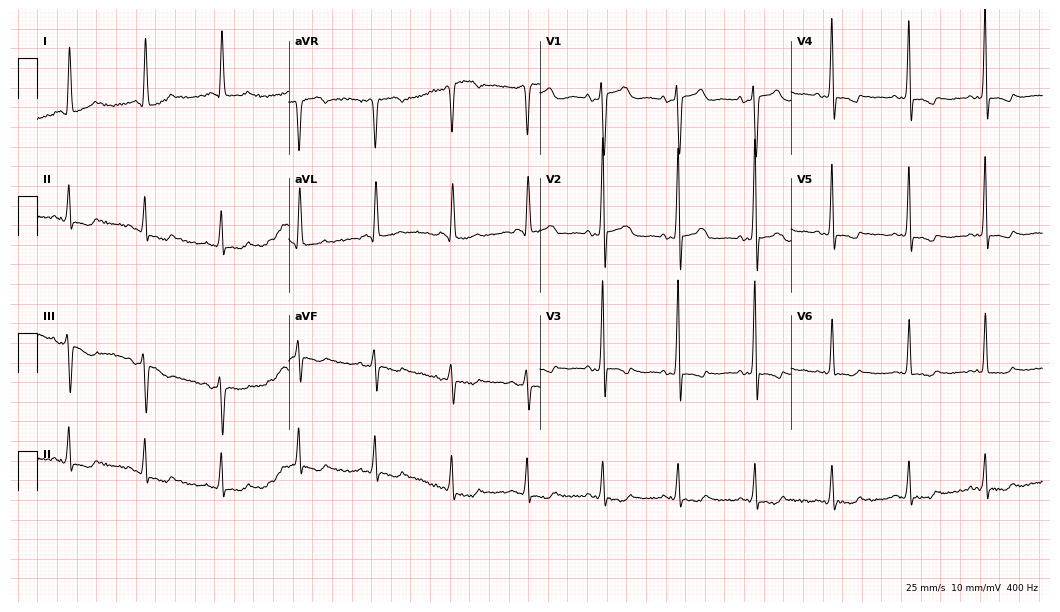
Standard 12-lead ECG recorded from a 77-year-old female patient. Read as a normal ECG.